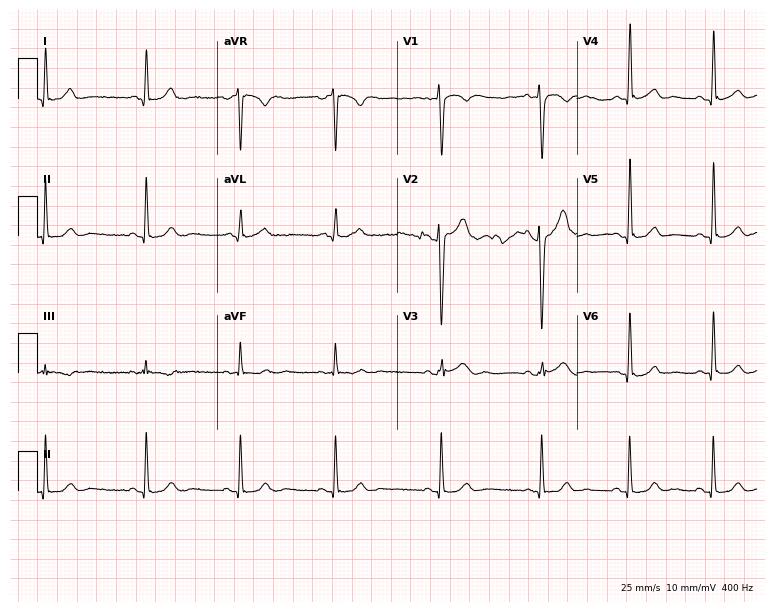
12-lead ECG (7.3-second recording at 400 Hz) from a man, 34 years old. Labelled as a normal ECG.